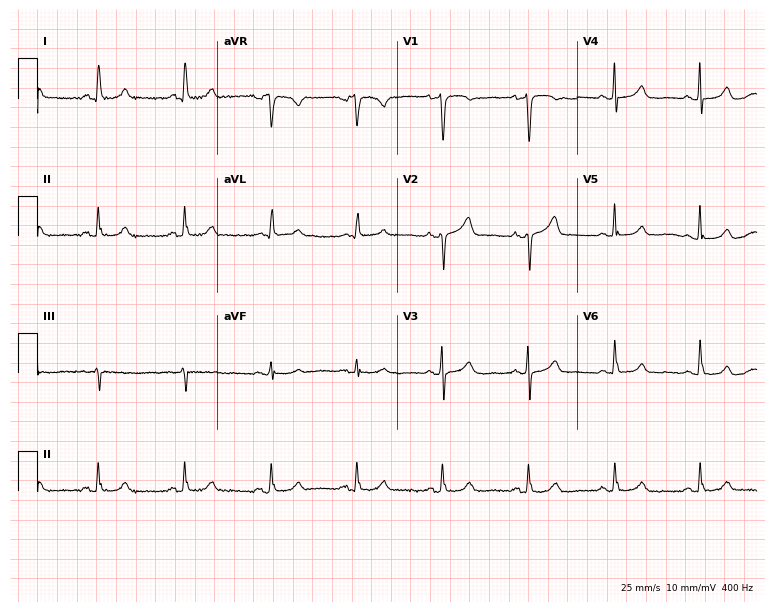
Electrocardiogram (7.3-second recording at 400 Hz), a woman, 57 years old. Overall reading on record: normal ECG.